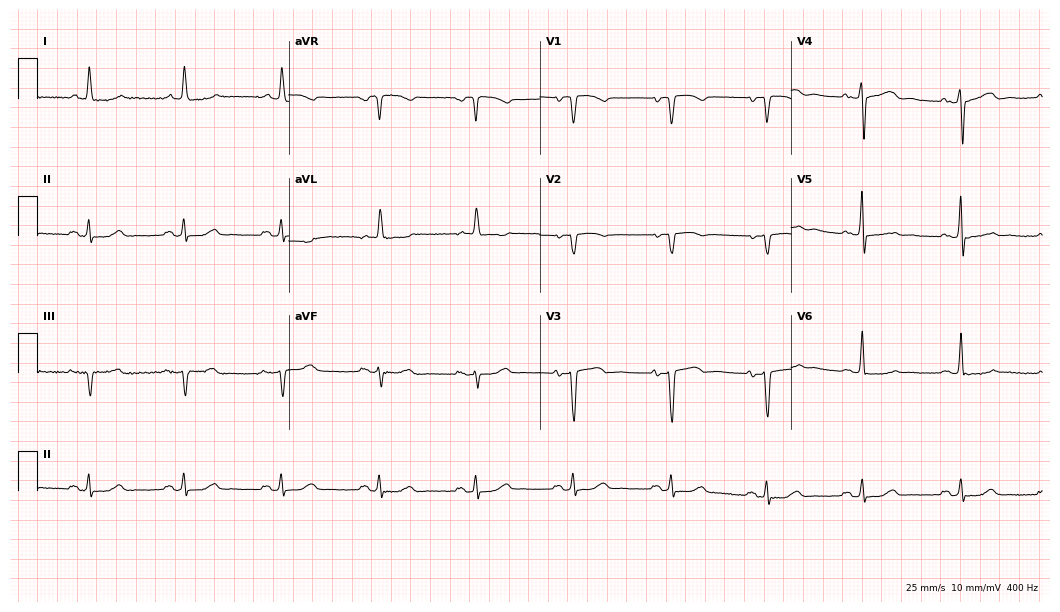
Standard 12-lead ECG recorded from a 65-year-old female patient (10.2-second recording at 400 Hz). Read as a normal ECG.